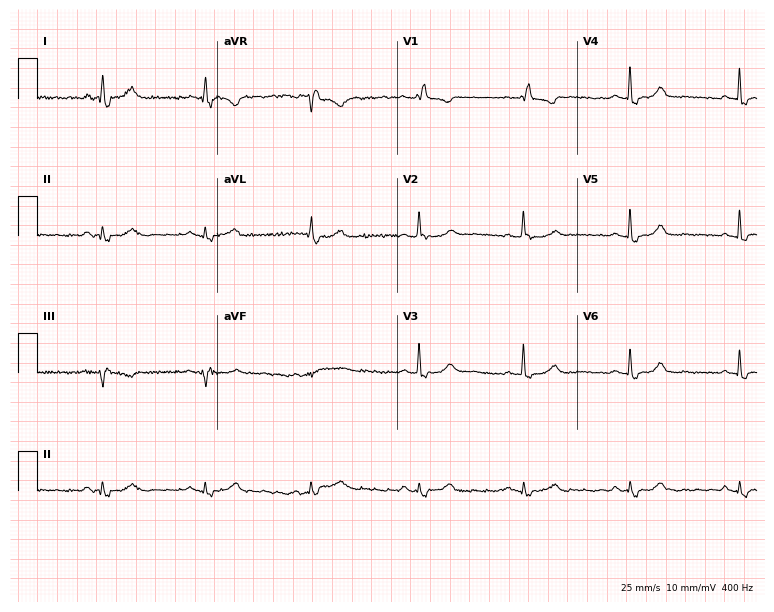
Electrocardiogram, a female patient, 65 years old. Of the six screened findings (first-degree AV block, right bundle branch block, left bundle branch block, sinus bradycardia, atrial fibrillation, sinus tachycardia), none is recorded. Other findings, if any, are not listed.